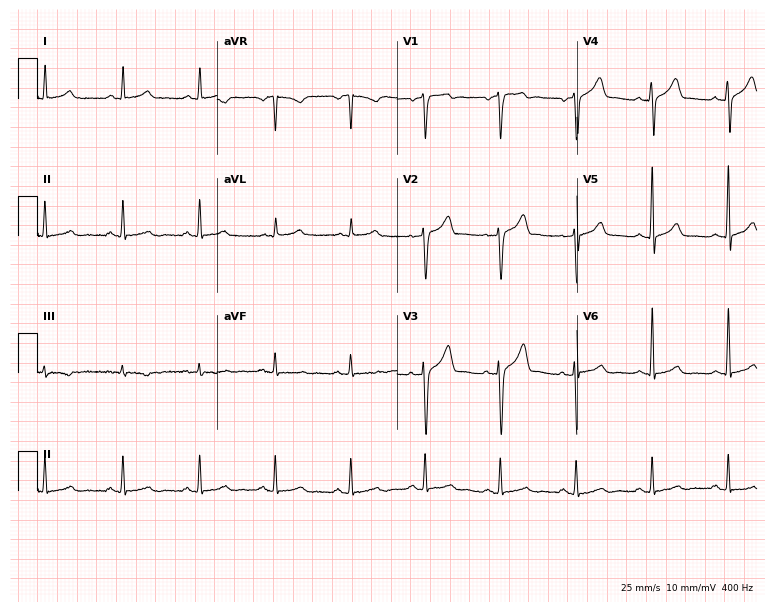
Resting 12-lead electrocardiogram (7.3-second recording at 400 Hz). Patient: a male, 50 years old. Read as a normal ECG.